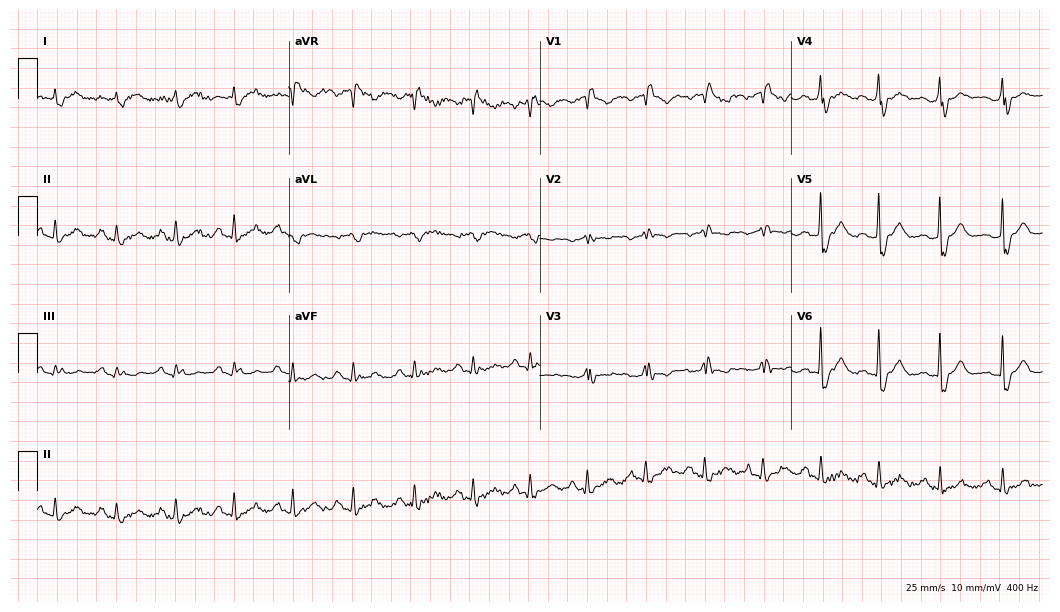
ECG — a man, 81 years old. Screened for six findings — first-degree AV block, right bundle branch block, left bundle branch block, sinus bradycardia, atrial fibrillation, sinus tachycardia — none is recorded. Other findings, if any, are not listed.